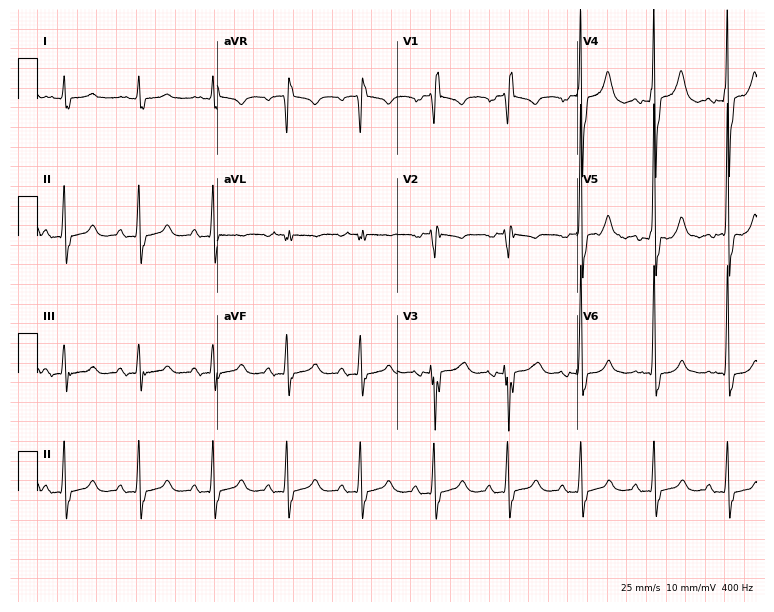
Electrocardiogram (7.3-second recording at 400 Hz), an 80-year-old male. Interpretation includes right bundle branch block (RBBB).